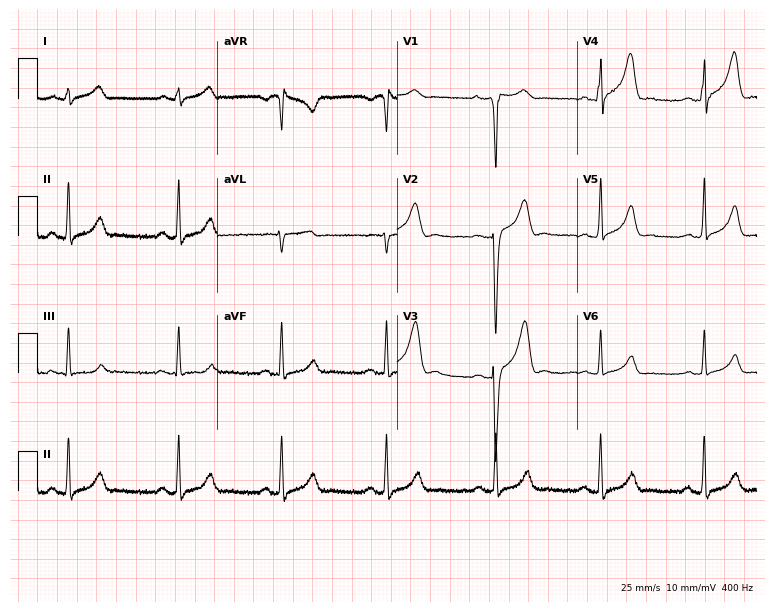
12-lead ECG from a male patient, 27 years old. Screened for six findings — first-degree AV block, right bundle branch block, left bundle branch block, sinus bradycardia, atrial fibrillation, sinus tachycardia — none is recorded.